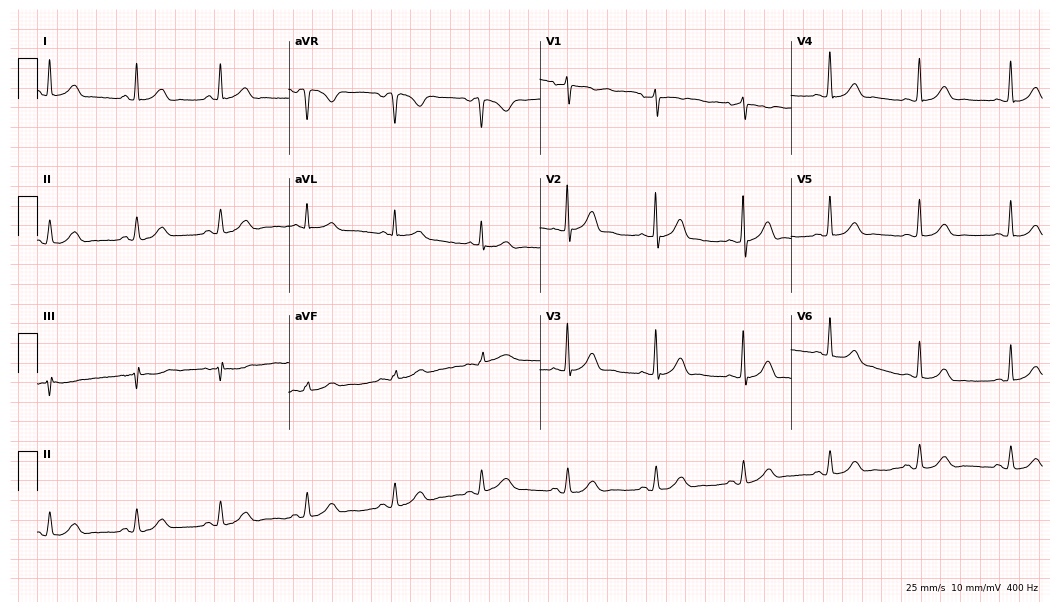
Resting 12-lead electrocardiogram. Patient: a female, 63 years old. Read as a normal ECG.